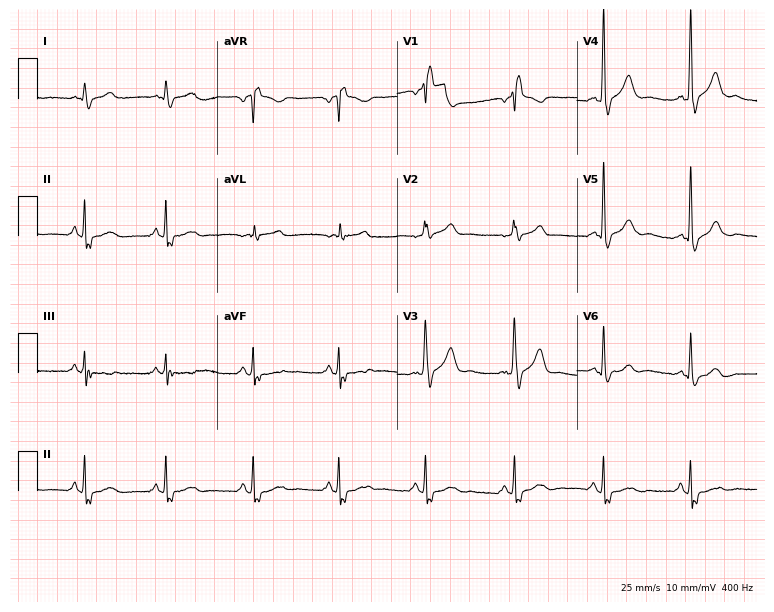
Resting 12-lead electrocardiogram (7.3-second recording at 400 Hz). Patient: a male, 62 years old. The tracing shows right bundle branch block.